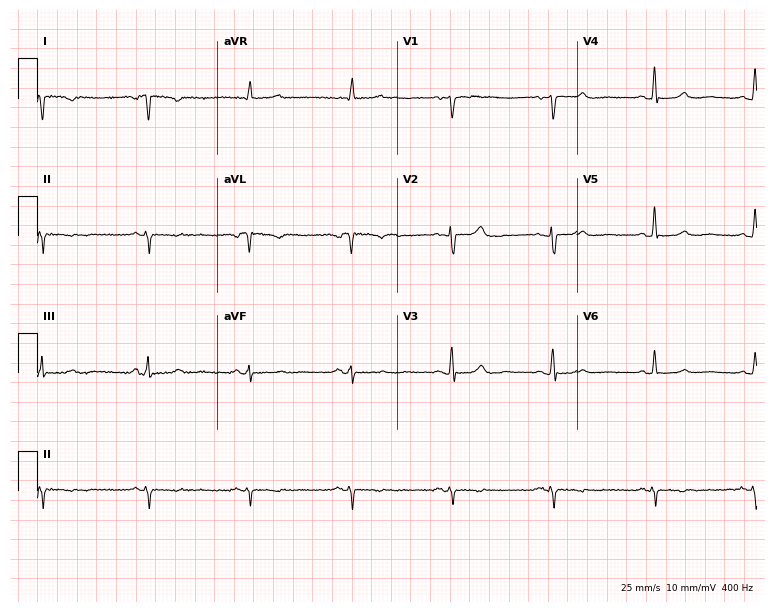
12-lead ECG from a female patient, 65 years old. Screened for six findings — first-degree AV block, right bundle branch block, left bundle branch block, sinus bradycardia, atrial fibrillation, sinus tachycardia — none is recorded.